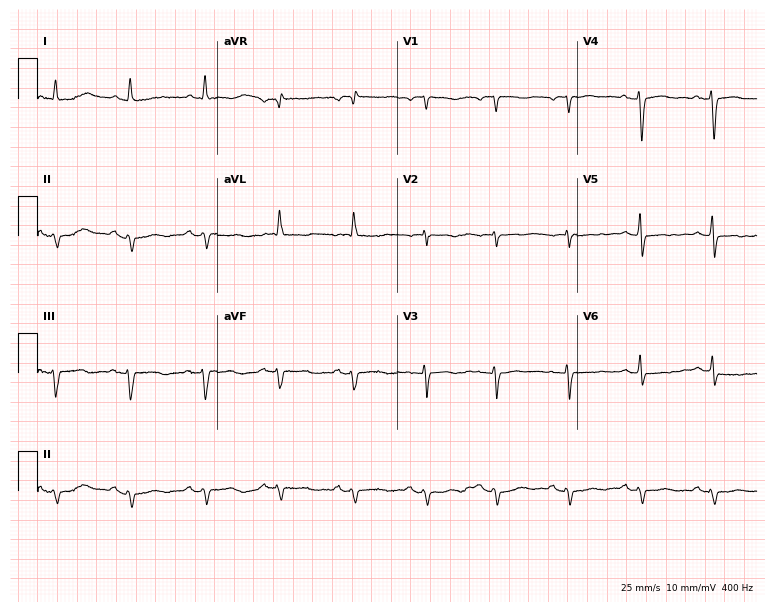
Electrocardiogram, an 82-year-old woman. Of the six screened findings (first-degree AV block, right bundle branch block, left bundle branch block, sinus bradycardia, atrial fibrillation, sinus tachycardia), none is recorded.